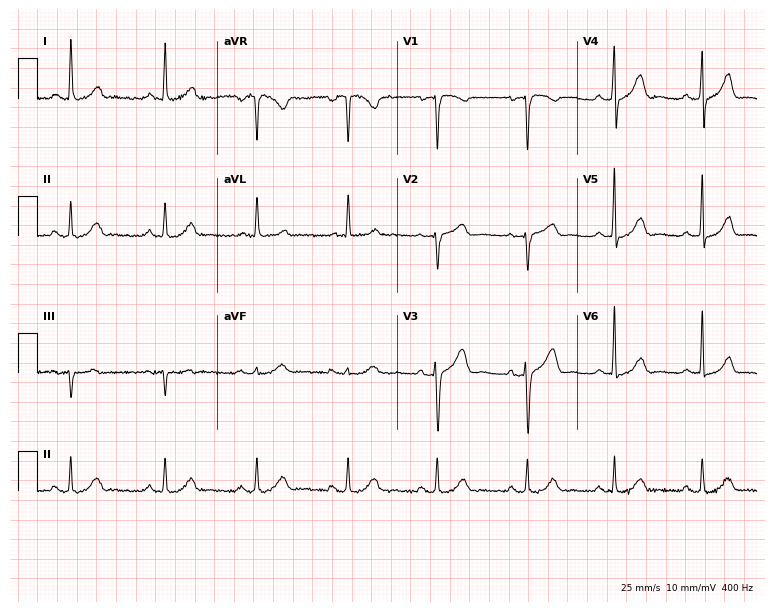
Resting 12-lead electrocardiogram (7.3-second recording at 400 Hz). Patient: an 80-year-old female. Read as a normal ECG.